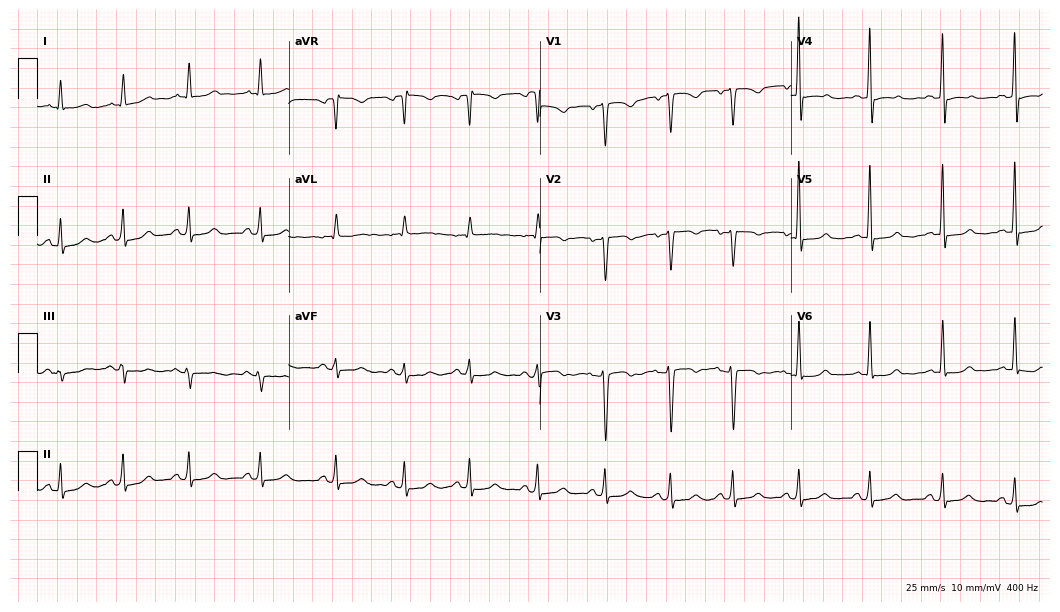
Resting 12-lead electrocardiogram. Patient: a 36-year-old female. Read as a normal ECG.